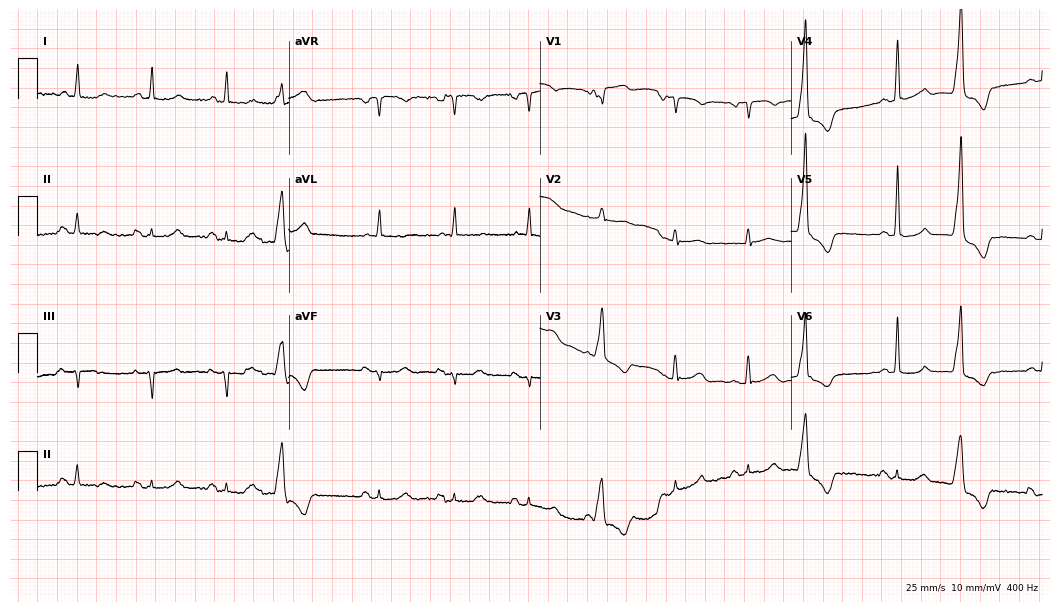
12-lead ECG from a man, 77 years old. Screened for six findings — first-degree AV block, right bundle branch block, left bundle branch block, sinus bradycardia, atrial fibrillation, sinus tachycardia — none is recorded.